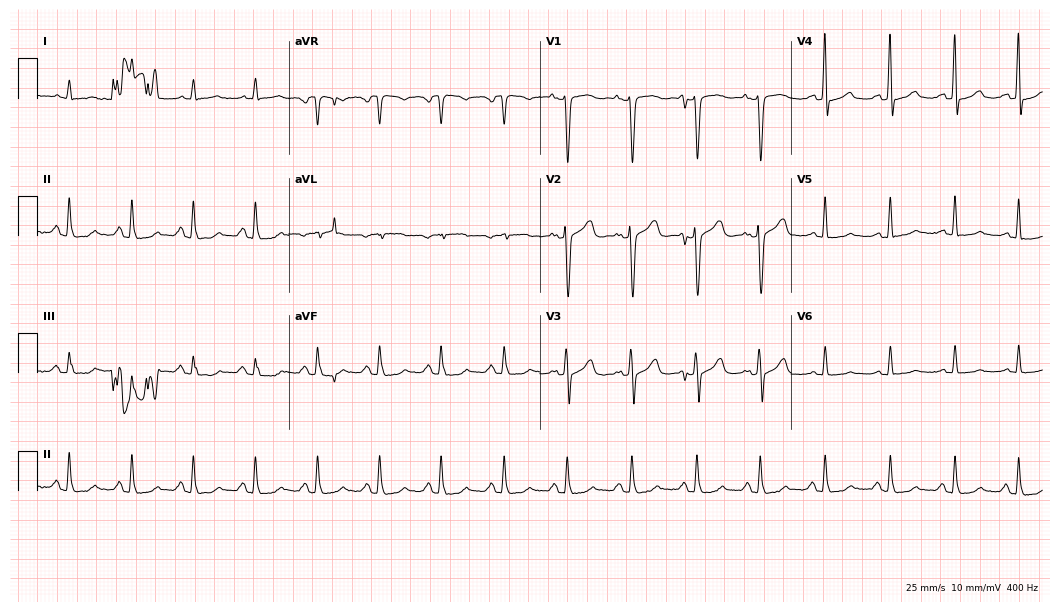
ECG (10.2-second recording at 400 Hz) — a female, 56 years old. Screened for six findings — first-degree AV block, right bundle branch block, left bundle branch block, sinus bradycardia, atrial fibrillation, sinus tachycardia — none is recorded. Other findings, if any, are not listed.